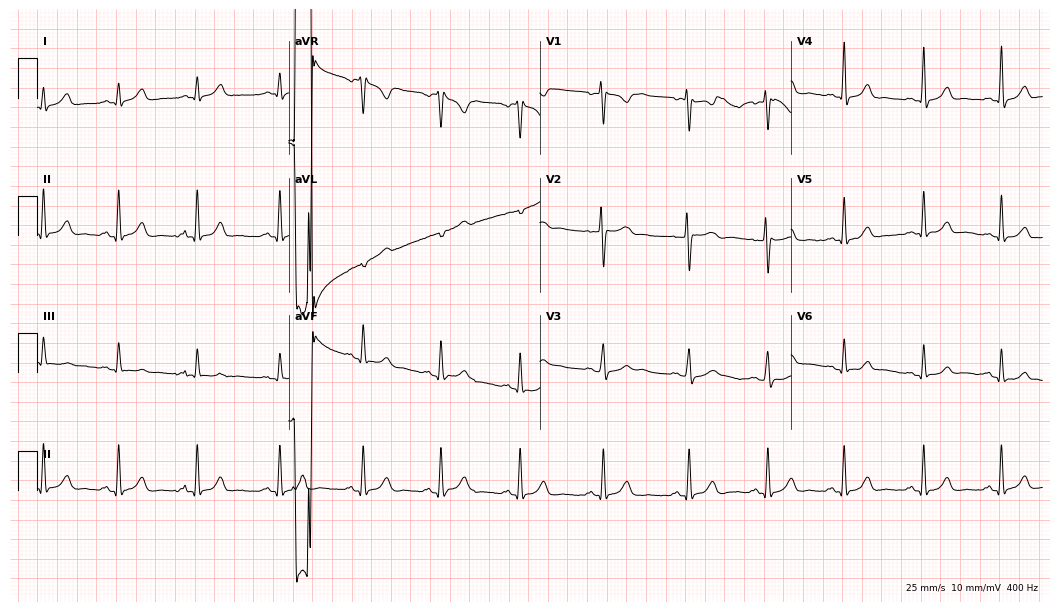
Electrocardiogram (10.2-second recording at 400 Hz), a female patient, 35 years old. Overall reading on record: normal ECG.